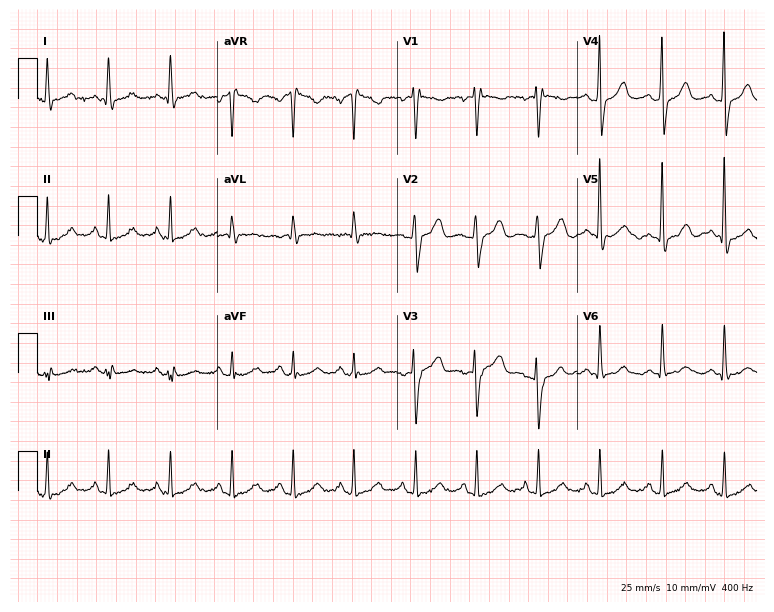
ECG (7.3-second recording at 400 Hz) — a female patient, 61 years old. Screened for six findings — first-degree AV block, right bundle branch block, left bundle branch block, sinus bradycardia, atrial fibrillation, sinus tachycardia — none is recorded. Only these six findings were labelled.